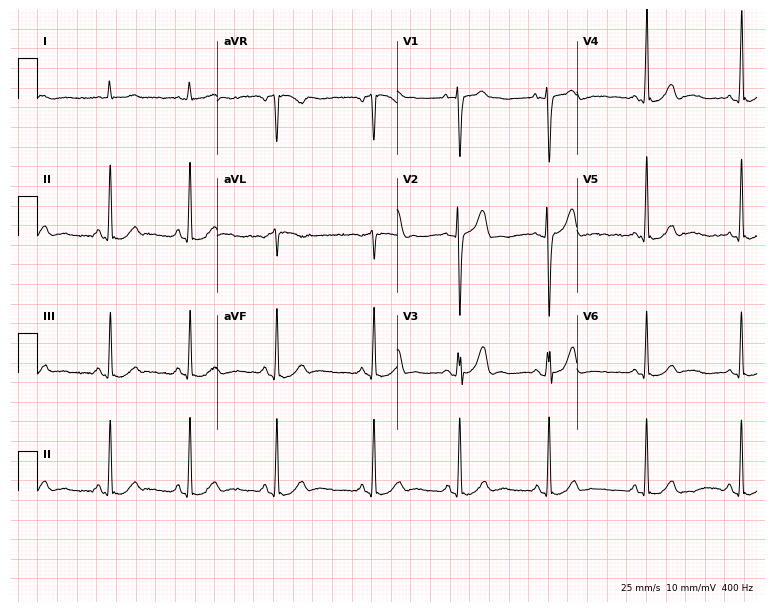
Standard 12-lead ECG recorded from a man, 29 years old. Read as a normal ECG.